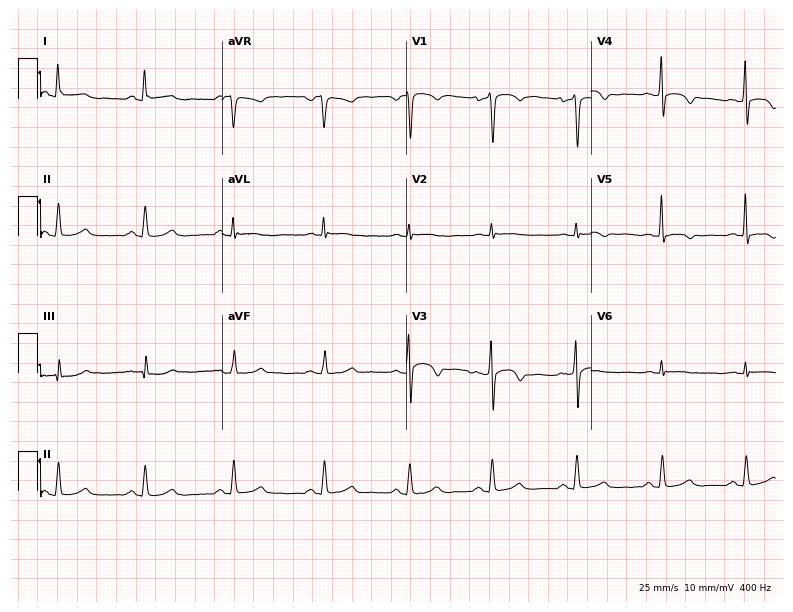
Standard 12-lead ECG recorded from a 31-year-old male patient. None of these six findings is recorded: first-degree AV block, right bundle branch block (RBBB), left bundle branch block (LBBB), sinus bradycardia, atrial fibrillation (AF), sinus tachycardia. Only these six findings were labelled.